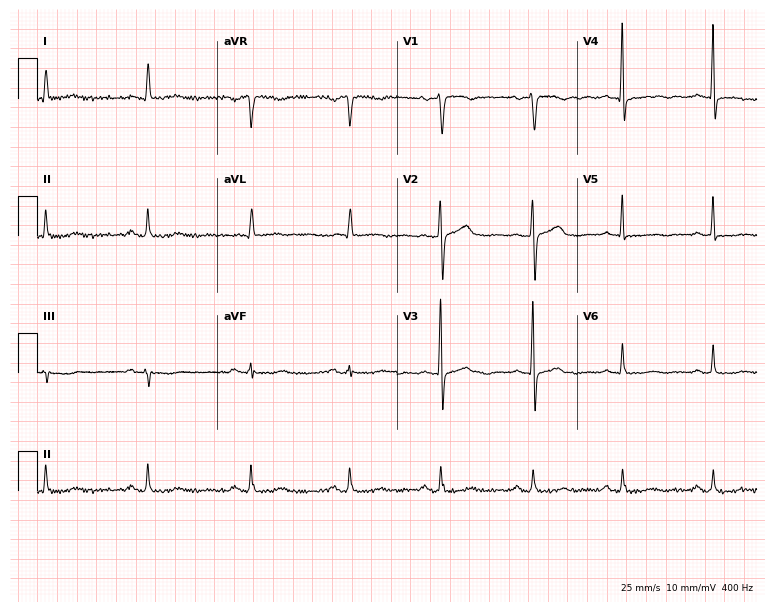
Standard 12-lead ECG recorded from a 57-year-old female (7.3-second recording at 400 Hz). None of these six findings is recorded: first-degree AV block, right bundle branch block, left bundle branch block, sinus bradycardia, atrial fibrillation, sinus tachycardia. Findings outside these six are not listed.